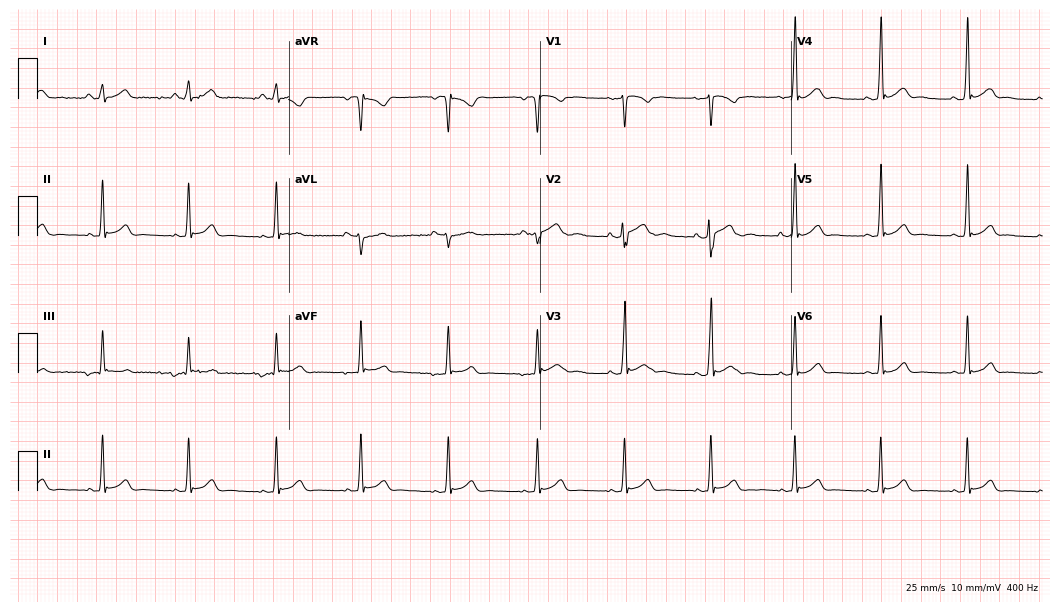
Electrocardiogram (10.2-second recording at 400 Hz), a 23-year-old male patient. Of the six screened findings (first-degree AV block, right bundle branch block, left bundle branch block, sinus bradycardia, atrial fibrillation, sinus tachycardia), none is recorded. Other findings, if any, are not listed.